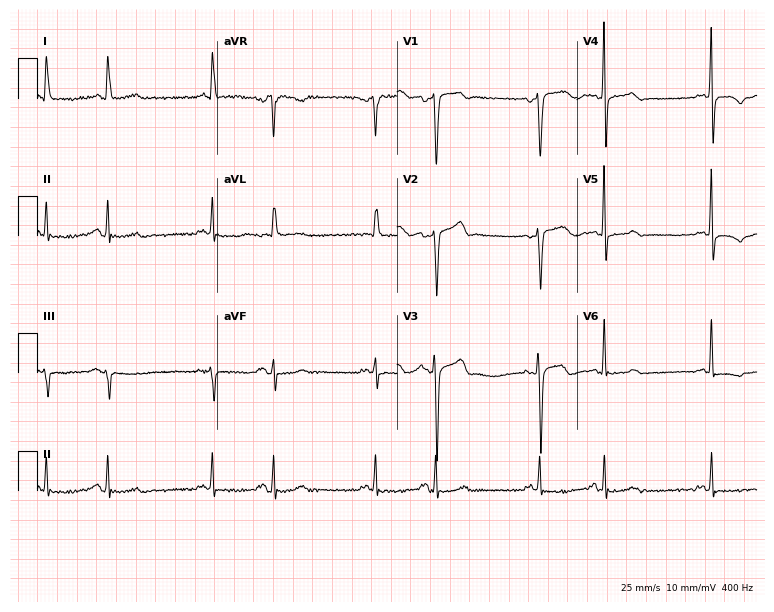
12-lead ECG from a female patient, 78 years old (7.3-second recording at 400 Hz). No first-degree AV block, right bundle branch block, left bundle branch block, sinus bradycardia, atrial fibrillation or sinus tachycardia recorded for this tracing.